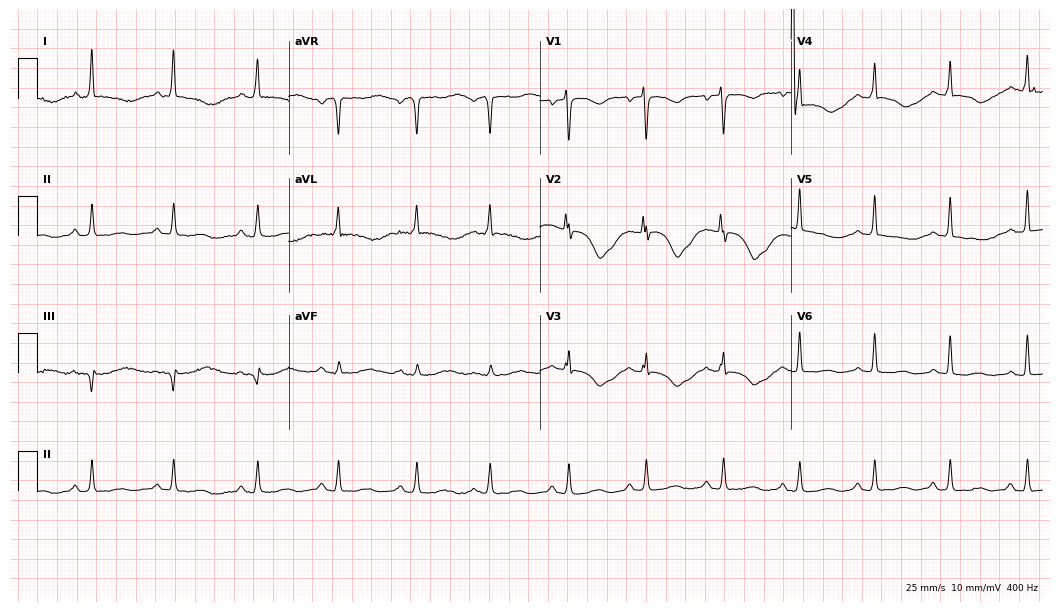
Resting 12-lead electrocardiogram. Patient: a woman, 78 years old. None of these six findings is recorded: first-degree AV block, right bundle branch block (RBBB), left bundle branch block (LBBB), sinus bradycardia, atrial fibrillation (AF), sinus tachycardia. Findings outside these six are not listed.